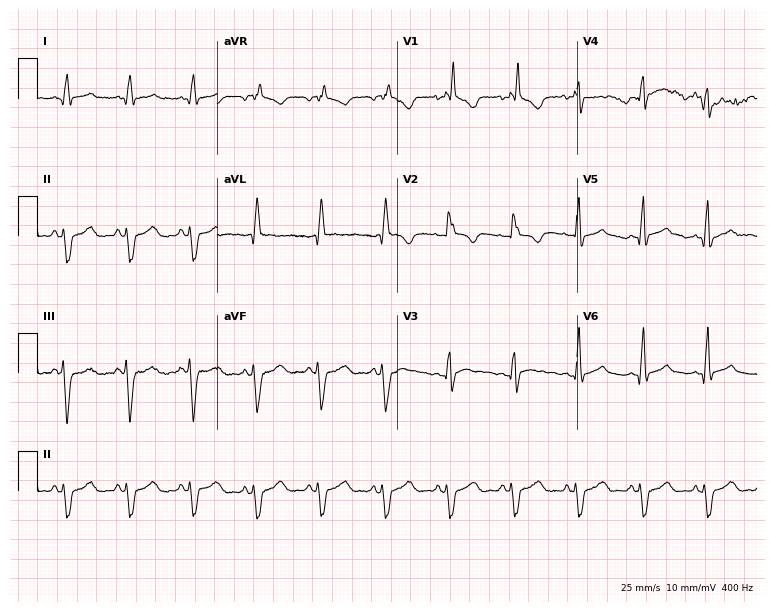
Resting 12-lead electrocardiogram. Patient: a 39-year-old man. The tracing shows right bundle branch block.